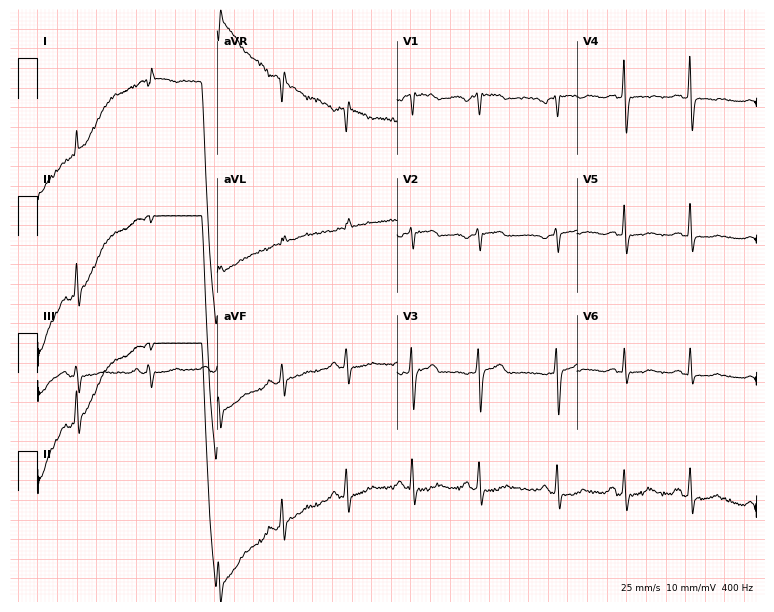
12-lead ECG from a 40-year-old female. Screened for six findings — first-degree AV block, right bundle branch block, left bundle branch block, sinus bradycardia, atrial fibrillation, sinus tachycardia — none is recorded.